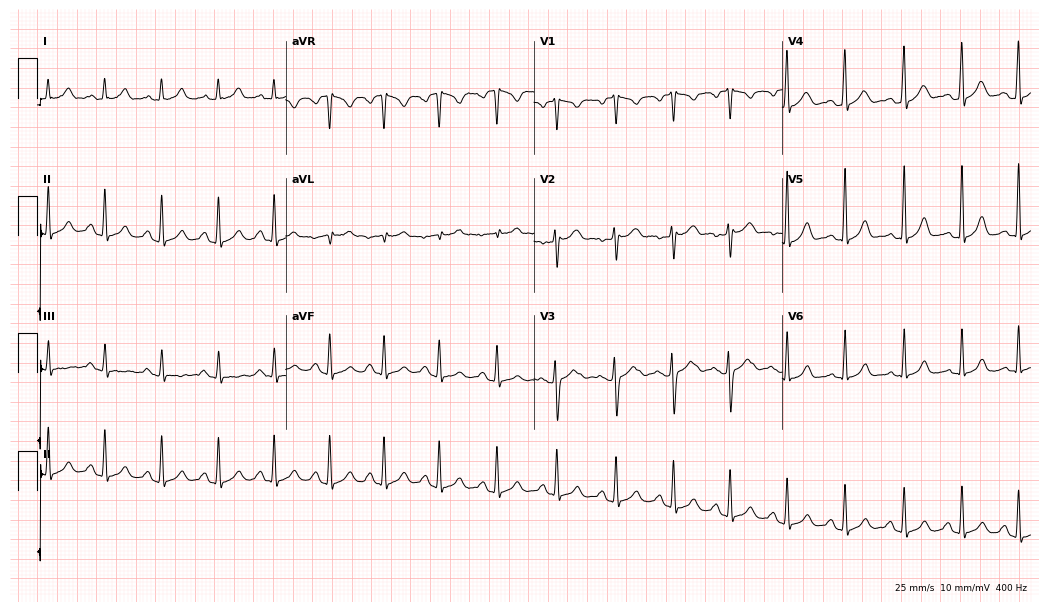
12-lead ECG from a 23-year-old woman. Findings include sinus tachycardia (a sinus rate of 100 beats per minute or more).